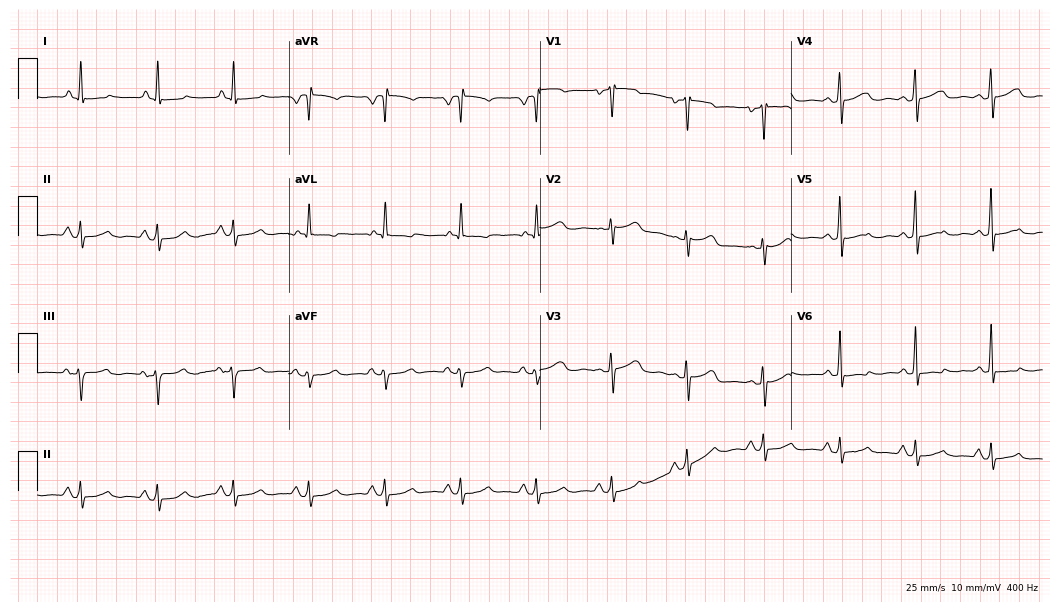
12-lead ECG (10.2-second recording at 400 Hz) from a female patient, 51 years old. Screened for six findings — first-degree AV block, right bundle branch block (RBBB), left bundle branch block (LBBB), sinus bradycardia, atrial fibrillation (AF), sinus tachycardia — none is recorded. Findings outside these six are not listed.